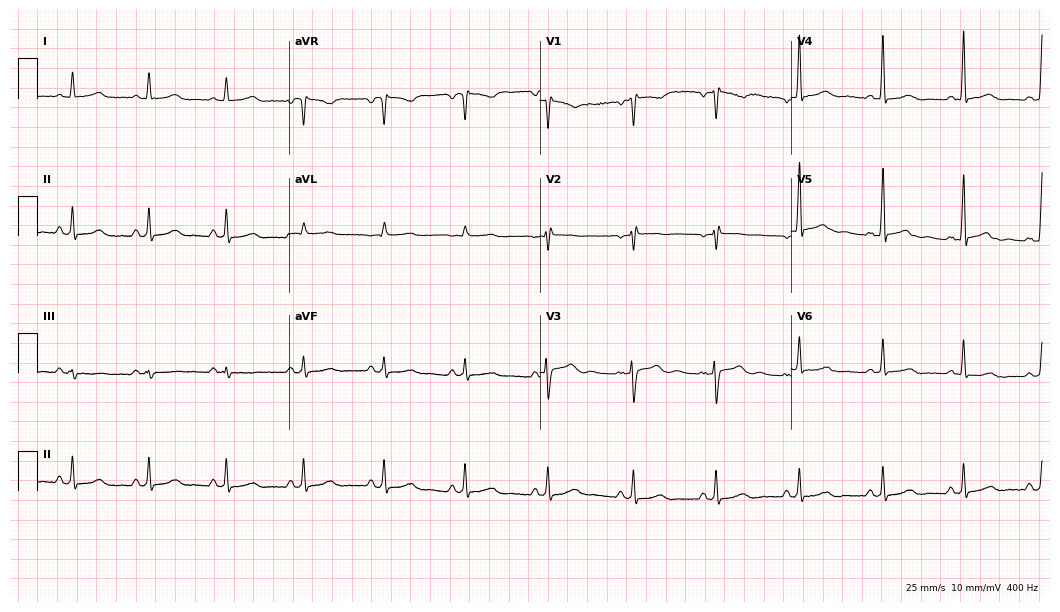
12-lead ECG from a 48-year-old female. Recorded interpretation: within normal limits.